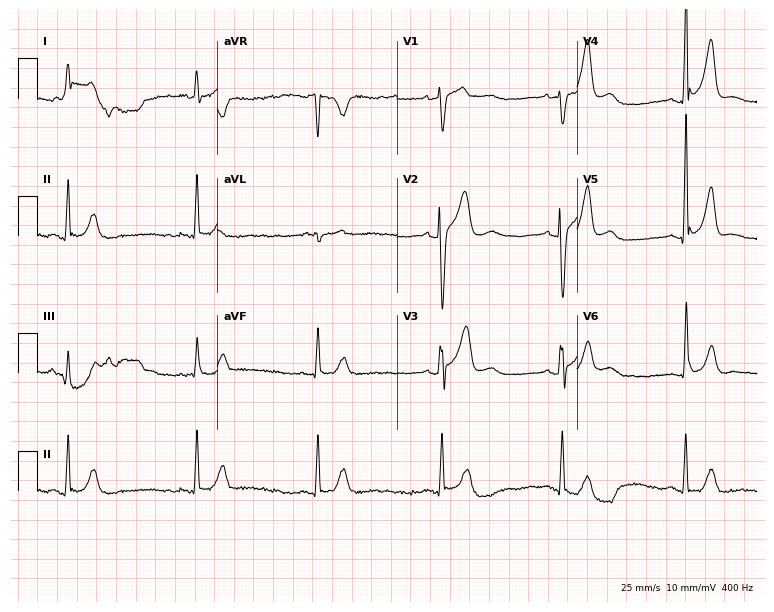
12-lead ECG (7.3-second recording at 400 Hz) from a 34-year-old male patient. Findings include sinus bradycardia (a sinus rate of 50 beats per minute or less).